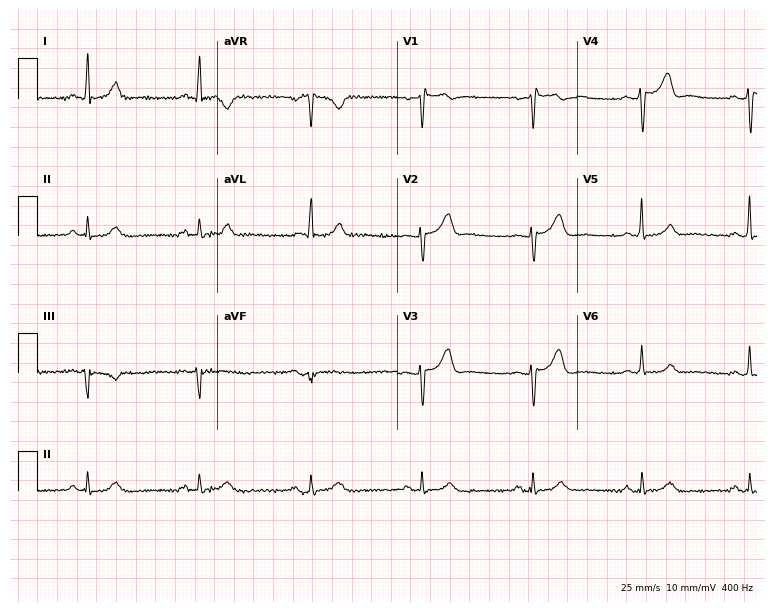
12-lead ECG from a male patient, 56 years old. Screened for six findings — first-degree AV block, right bundle branch block, left bundle branch block, sinus bradycardia, atrial fibrillation, sinus tachycardia — none is recorded. Only these six findings were labelled.